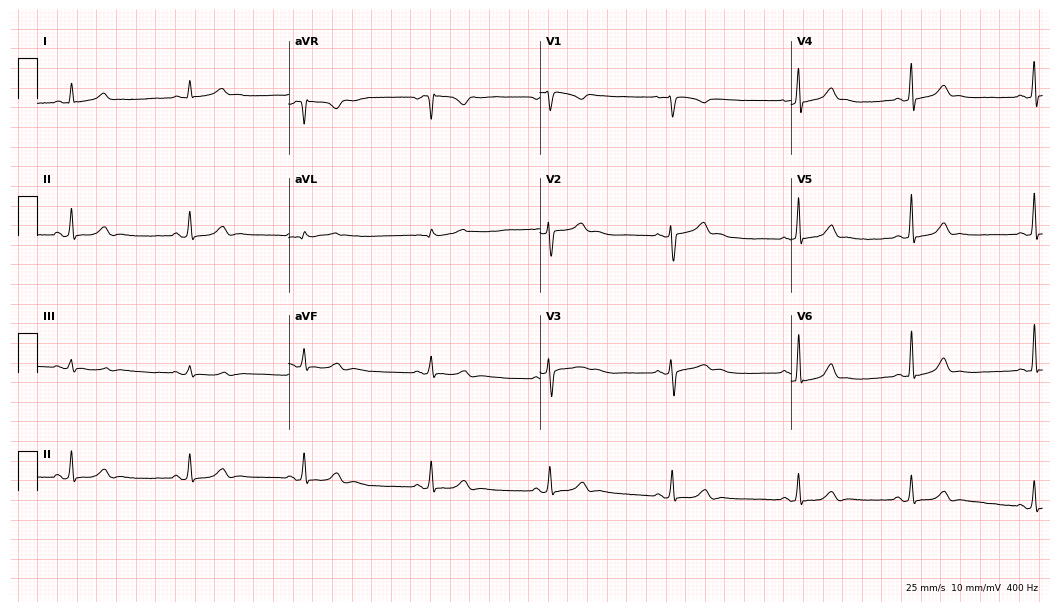
12-lead ECG (10.2-second recording at 400 Hz) from a 31-year-old woman. Screened for six findings — first-degree AV block, right bundle branch block, left bundle branch block, sinus bradycardia, atrial fibrillation, sinus tachycardia — none is recorded.